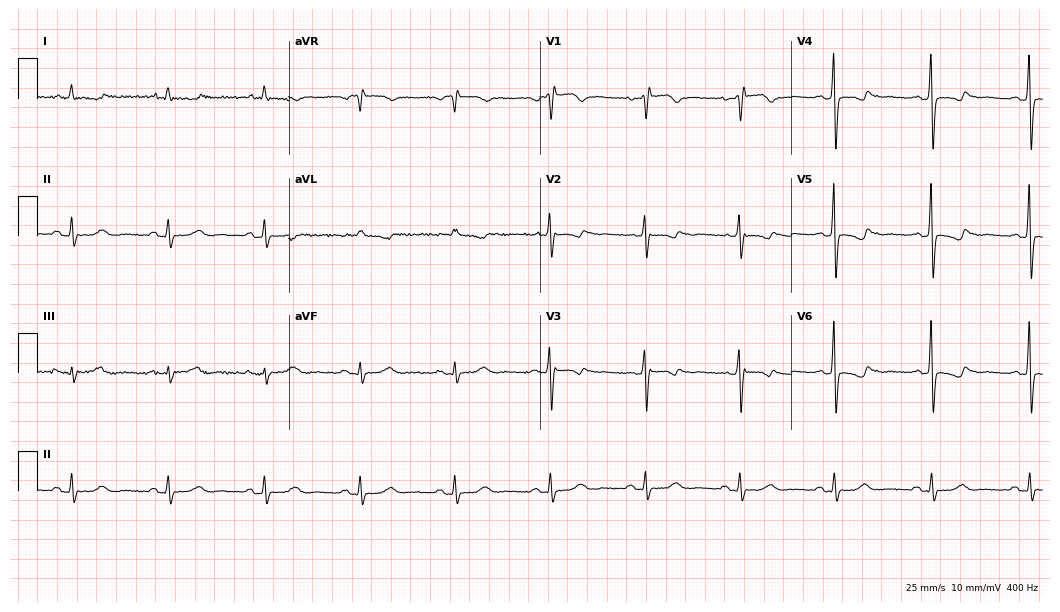
Electrocardiogram (10.2-second recording at 400 Hz), a female, 67 years old. Of the six screened findings (first-degree AV block, right bundle branch block, left bundle branch block, sinus bradycardia, atrial fibrillation, sinus tachycardia), none is recorded.